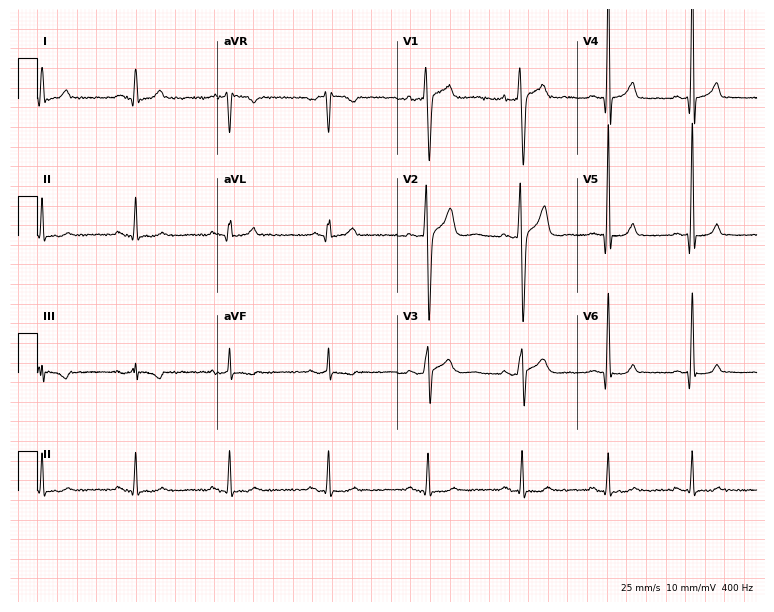
ECG — a male, 22 years old. Screened for six findings — first-degree AV block, right bundle branch block (RBBB), left bundle branch block (LBBB), sinus bradycardia, atrial fibrillation (AF), sinus tachycardia — none is recorded.